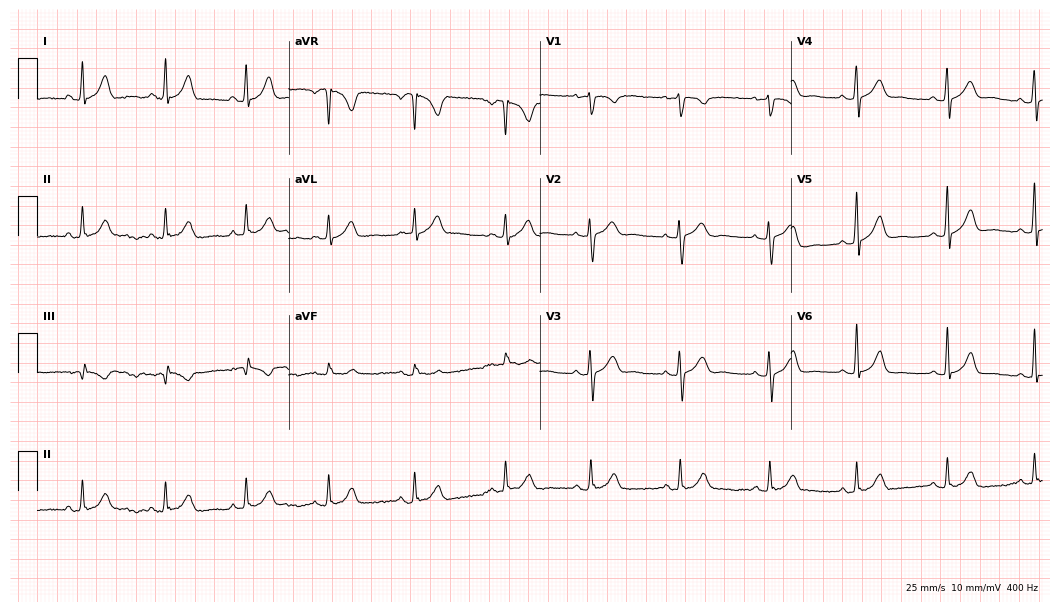
Standard 12-lead ECG recorded from a 44-year-old woman. None of these six findings is recorded: first-degree AV block, right bundle branch block, left bundle branch block, sinus bradycardia, atrial fibrillation, sinus tachycardia. Findings outside these six are not listed.